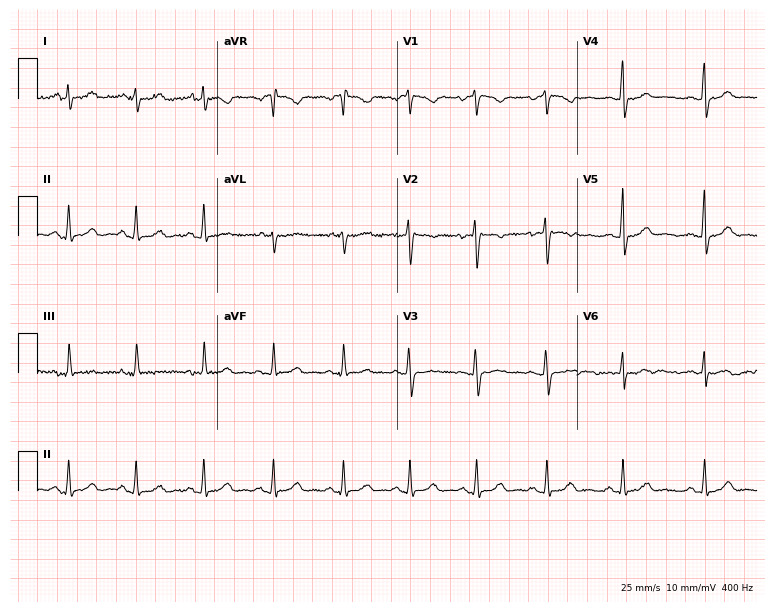
Resting 12-lead electrocardiogram. Patient: a 32-year-old female. None of these six findings is recorded: first-degree AV block, right bundle branch block (RBBB), left bundle branch block (LBBB), sinus bradycardia, atrial fibrillation (AF), sinus tachycardia. Other findings, if any, are not listed.